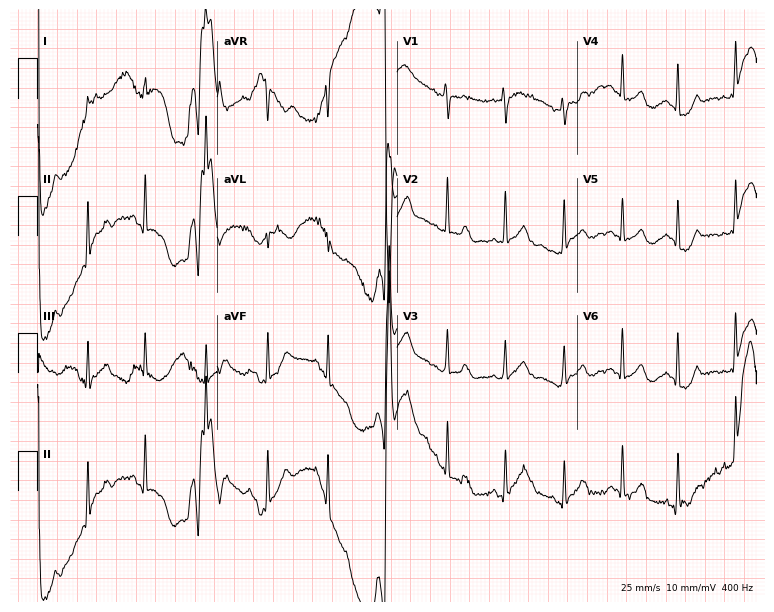
12-lead ECG from a 22-year-old man. No first-degree AV block, right bundle branch block (RBBB), left bundle branch block (LBBB), sinus bradycardia, atrial fibrillation (AF) or sinus tachycardia recorded for this tracing.